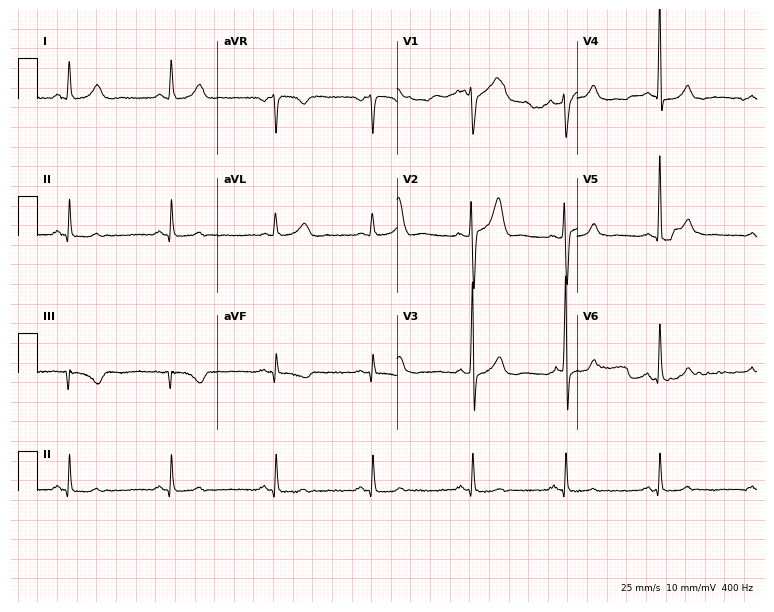
ECG — a 48-year-old male patient. Screened for six findings — first-degree AV block, right bundle branch block, left bundle branch block, sinus bradycardia, atrial fibrillation, sinus tachycardia — none is recorded.